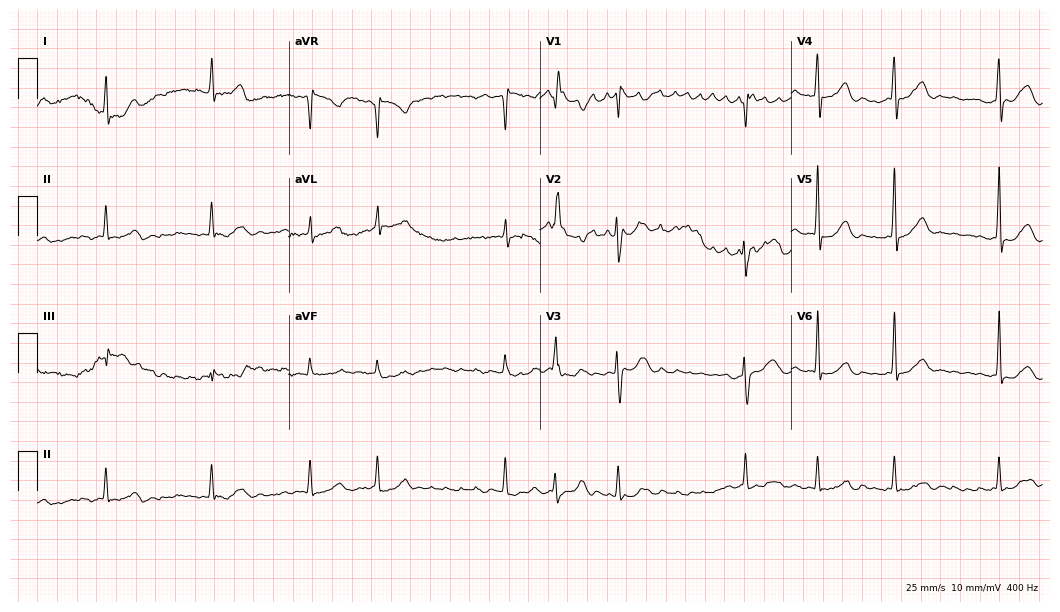
Standard 12-lead ECG recorded from a woman, 67 years old (10.2-second recording at 400 Hz). The tracing shows atrial fibrillation.